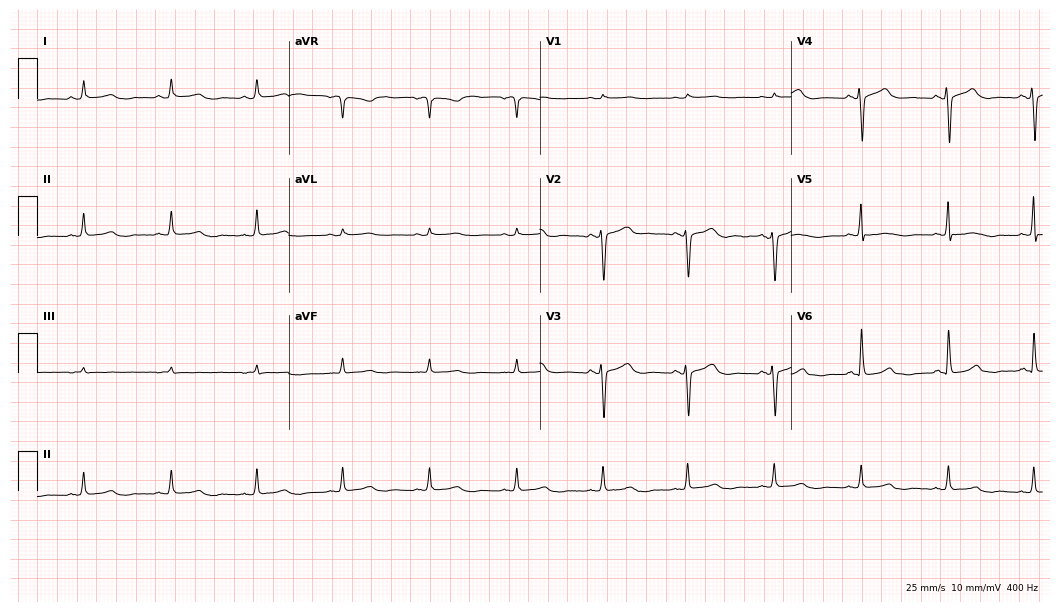
12-lead ECG (10.2-second recording at 400 Hz) from a male, 33 years old. Screened for six findings — first-degree AV block, right bundle branch block, left bundle branch block, sinus bradycardia, atrial fibrillation, sinus tachycardia — none is recorded. Only these six findings were labelled.